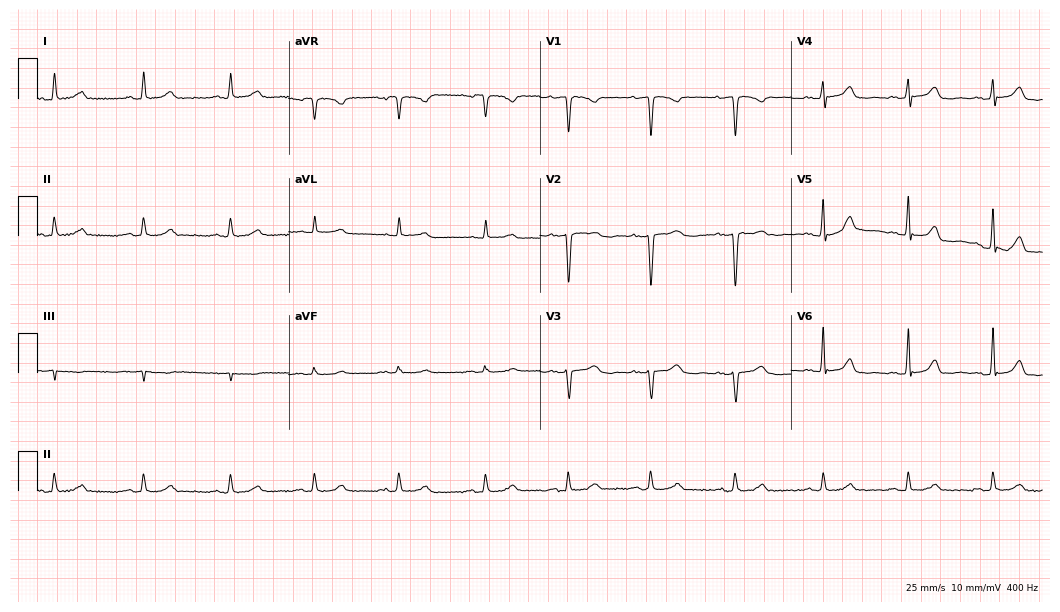
Resting 12-lead electrocardiogram (10.2-second recording at 400 Hz). Patient: a 48-year-old female. None of these six findings is recorded: first-degree AV block, right bundle branch block, left bundle branch block, sinus bradycardia, atrial fibrillation, sinus tachycardia. Only these six findings were labelled.